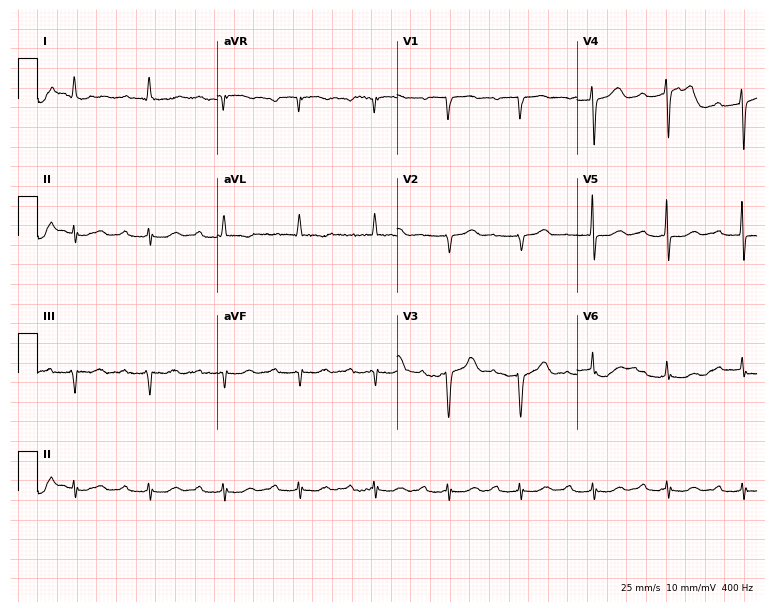
Standard 12-lead ECG recorded from a female, 80 years old (7.3-second recording at 400 Hz). Read as a normal ECG.